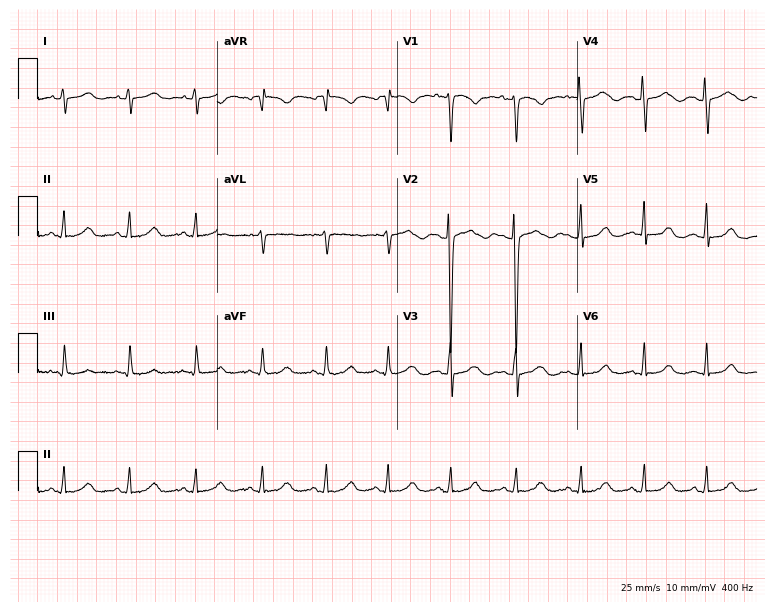
ECG (7.3-second recording at 400 Hz) — a female patient, 24 years old. Labelled as a normal ECG.